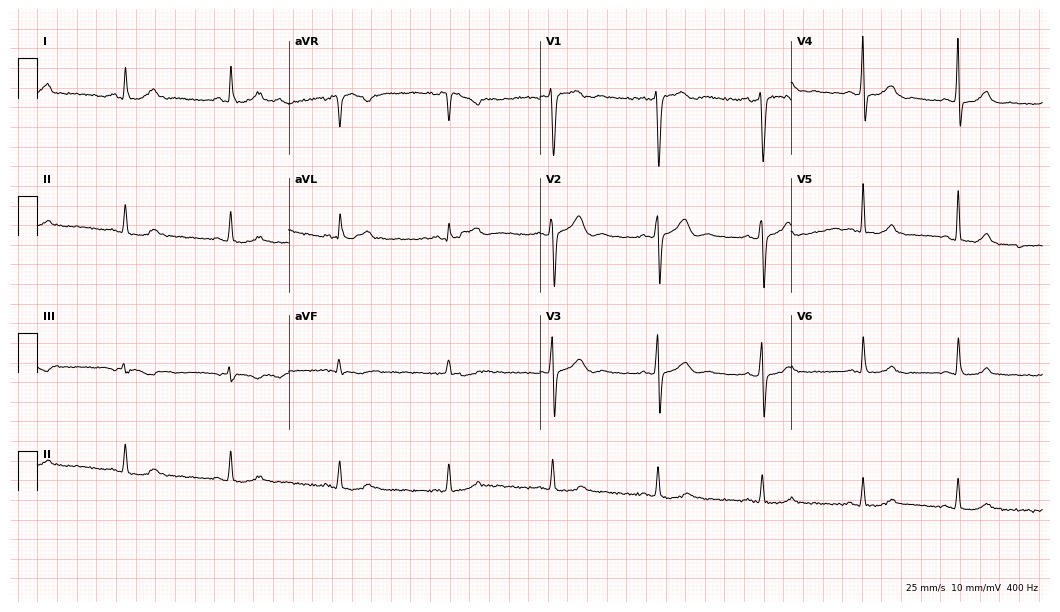
12-lead ECG from a male patient, 43 years old (10.2-second recording at 400 Hz). No first-degree AV block, right bundle branch block (RBBB), left bundle branch block (LBBB), sinus bradycardia, atrial fibrillation (AF) or sinus tachycardia recorded for this tracing. Findings outside these six are not listed.